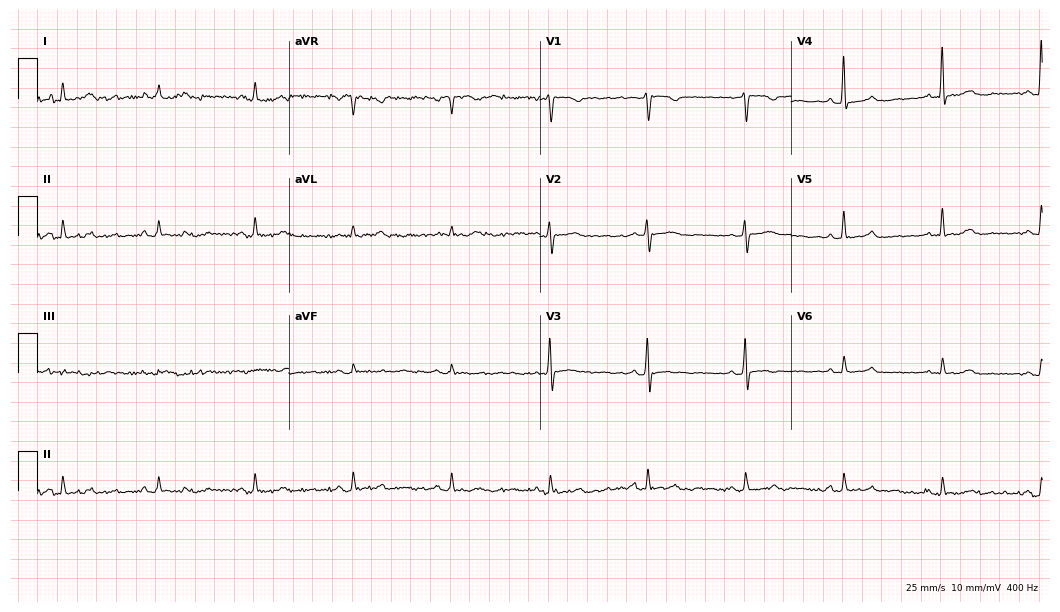
12-lead ECG (10.2-second recording at 400 Hz) from a female, 52 years old. Screened for six findings — first-degree AV block, right bundle branch block, left bundle branch block, sinus bradycardia, atrial fibrillation, sinus tachycardia — none is recorded.